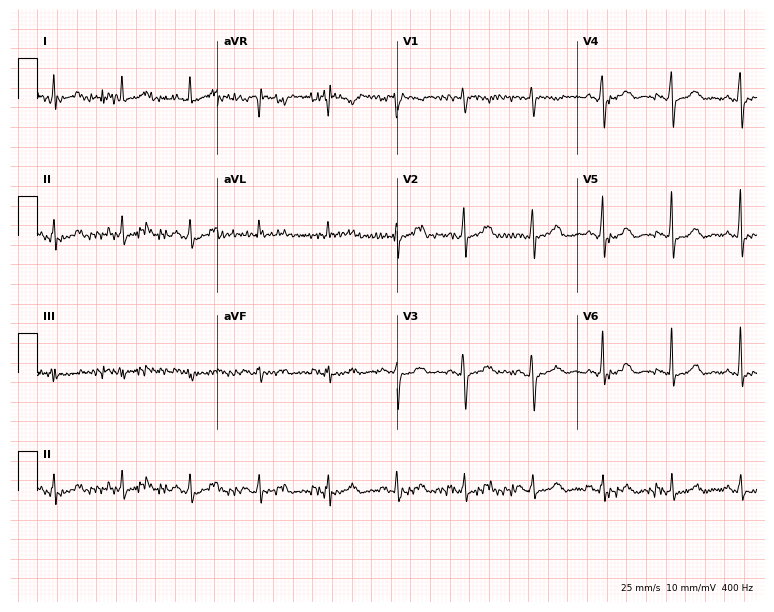
12-lead ECG from a 60-year-old woman. No first-degree AV block, right bundle branch block, left bundle branch block, sinus bradycardia, atrial fibrillation or sinus tachycardia recorded for this tracing. Other findings, if any, are not listed.